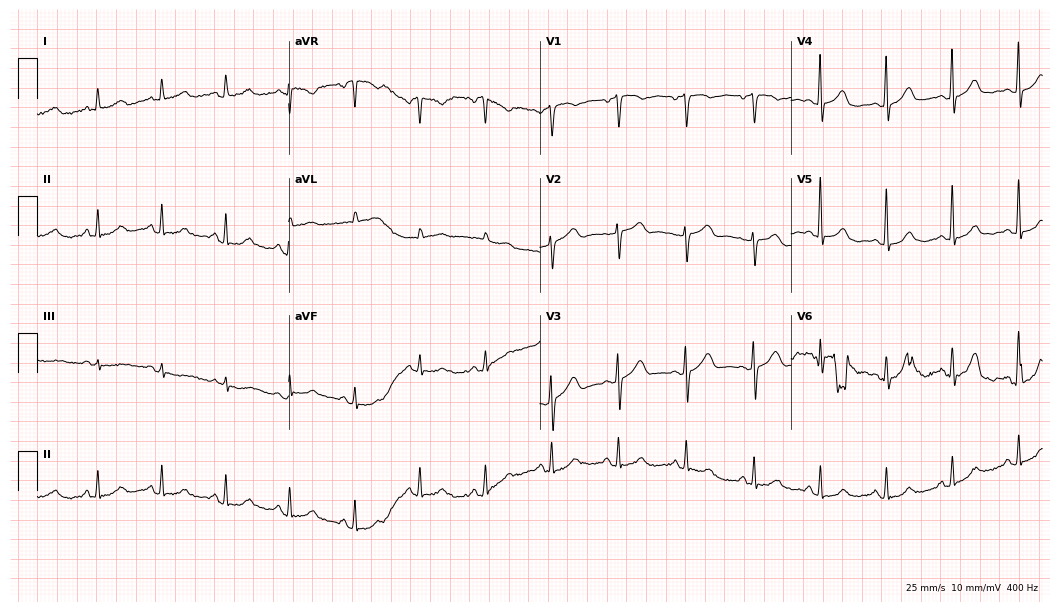
ECG — a 62-year-old female. Labelled as a normal ECG.